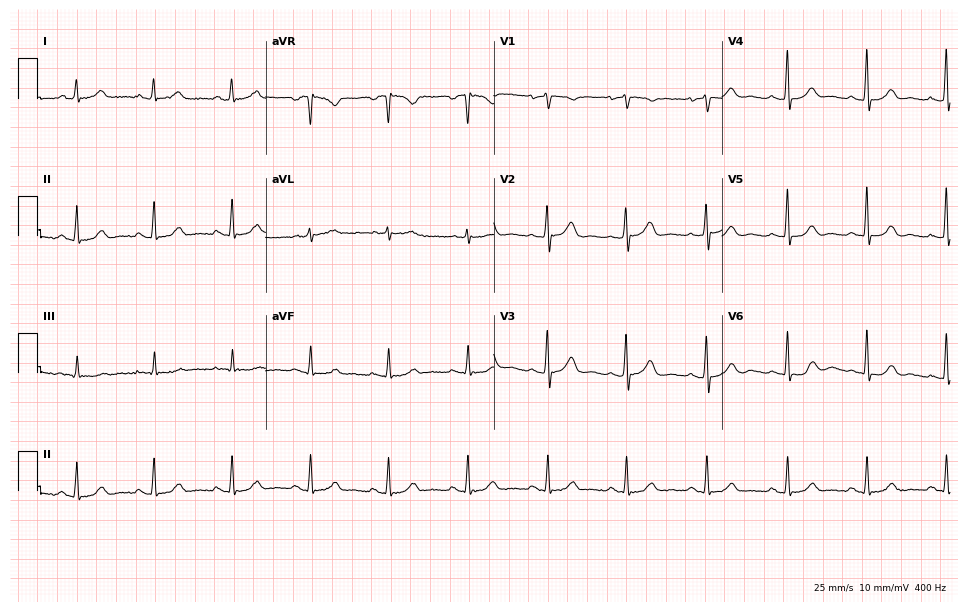
ECG — a female patient, 61 years old. Labelled as a normal ECG.